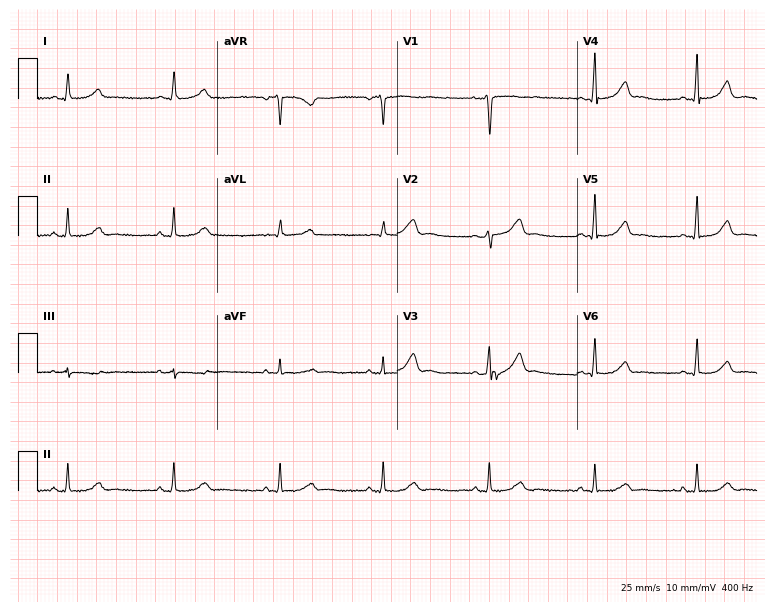
ECG (7.3-second recording at 400 Hz) — a 47-year-old female patient. Labelled as a normal ECG.